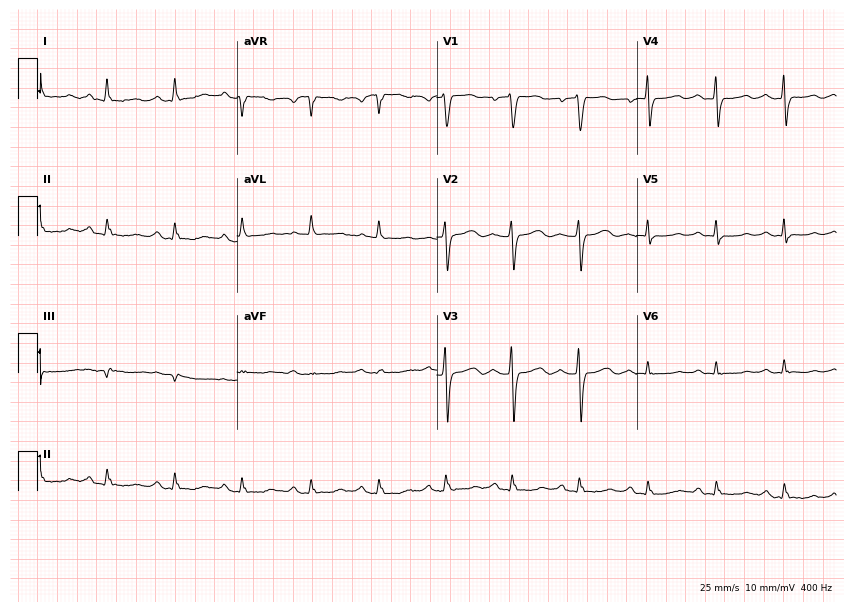
Electrocardiogram, a 65-year-old female patient. Of the six screened findings (first-degree AV block, right bundle branch block, left bundle branch block, sinus bradycardia, atrial fibrillation, sinus tachycardia), none is recorded. Other findings, if any, are not listed.